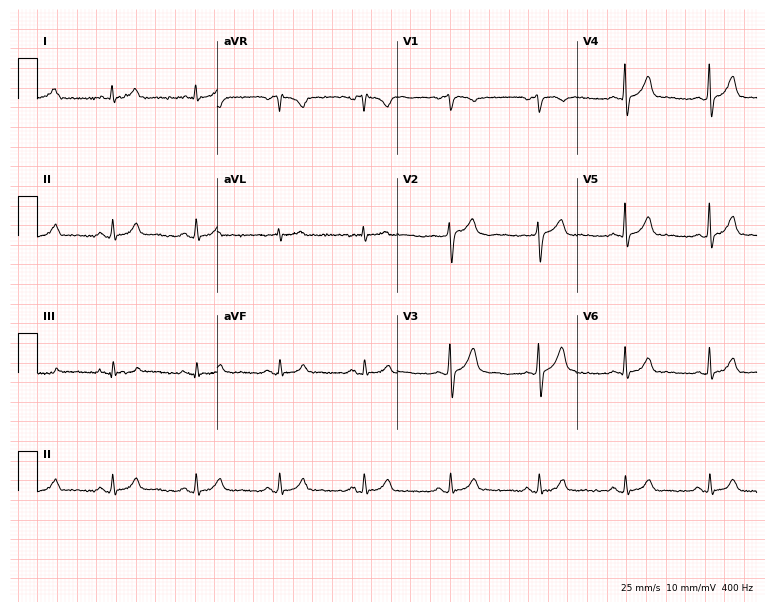
12-lead ECG from a 46-year-old male. No first-degree AV block, right bundle branch block, left bundle branch block, sinus bradycardia, atrial fibrillation or sinus tachycardia recorded for this tracing. Other findings, if any, are not listed.